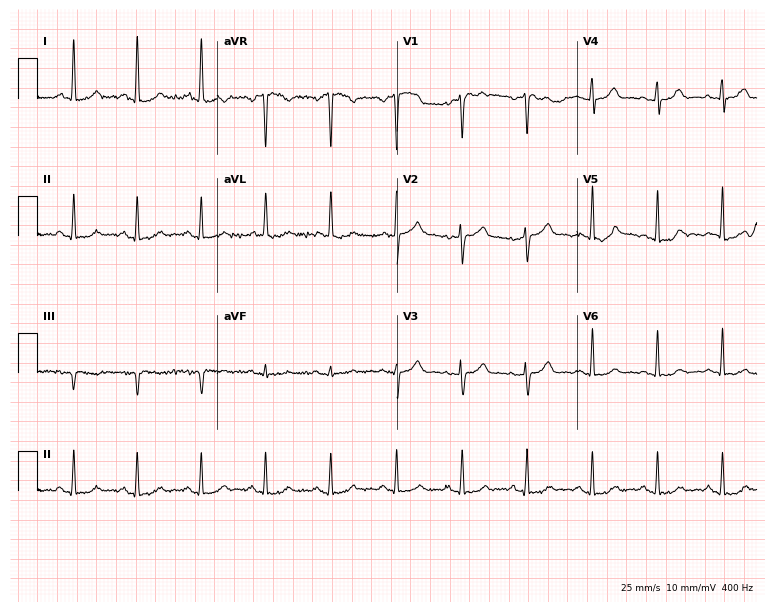
ECG — a female, 78 years old. Labelled as a normal ECG.